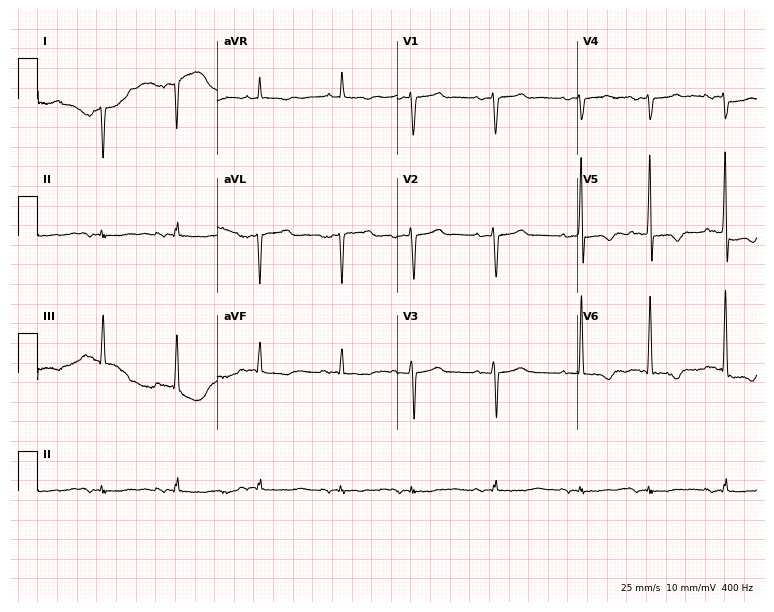
Standard 12-lead ECG recorded from a 74-year-old male (7.3-second recording at 400 Hz). None of these six findings is recorded: first-degree AV block, right bundle branch block (RBBB), left bundle branch block (LBBB), sinus bradycardia, atrial fibrillation (AF), sinus tachycardia.